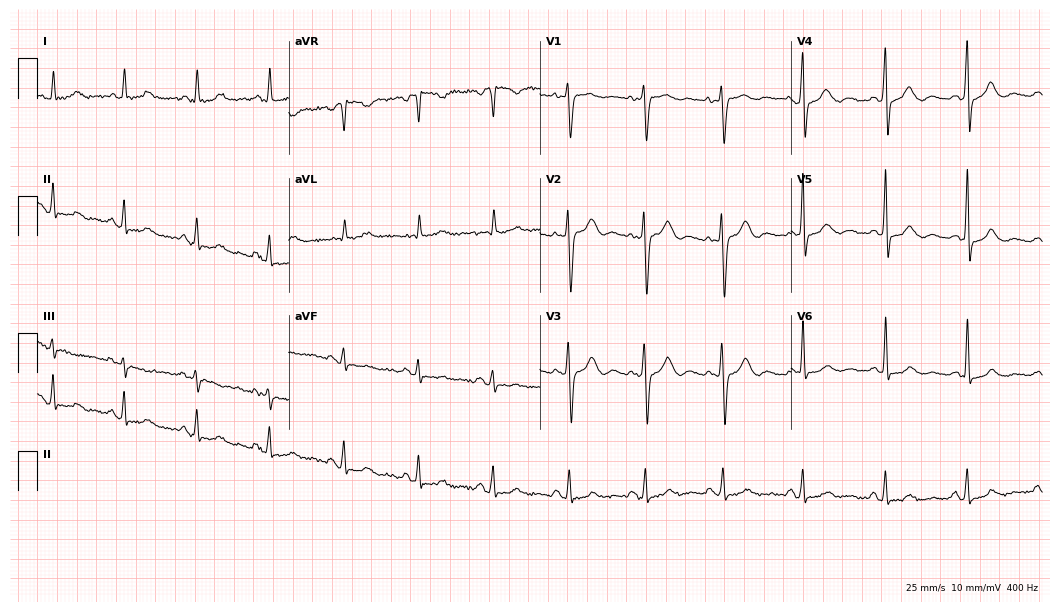
Standard 12-lead ECG recorded from a female patient, 77 years old. None of these six findings is recorded: first-degree AV block, right bundle branch block (RBBB), left bundle branch block (LBBB), sinus bradycardia, atrial fibrillation (AF), sinus tachycardia.